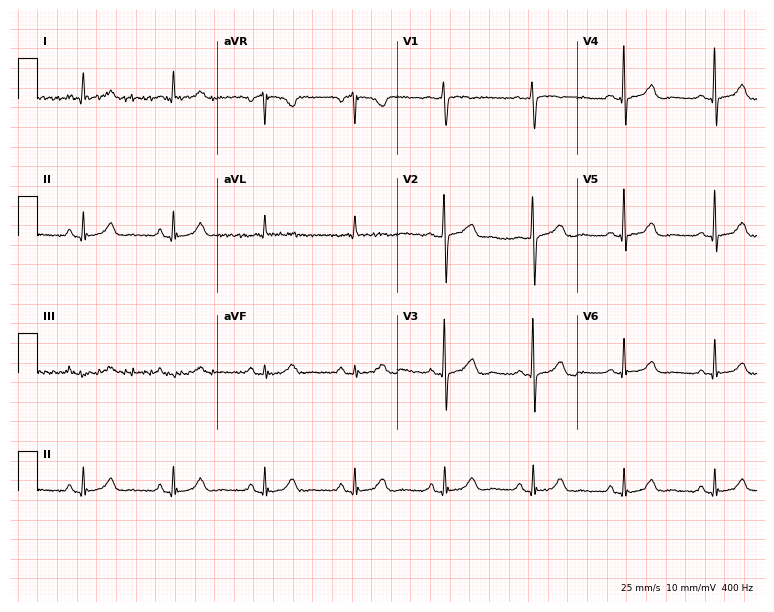
Electrocardiogram, a female, 55 years old. Overall reading on record: normal ECG.